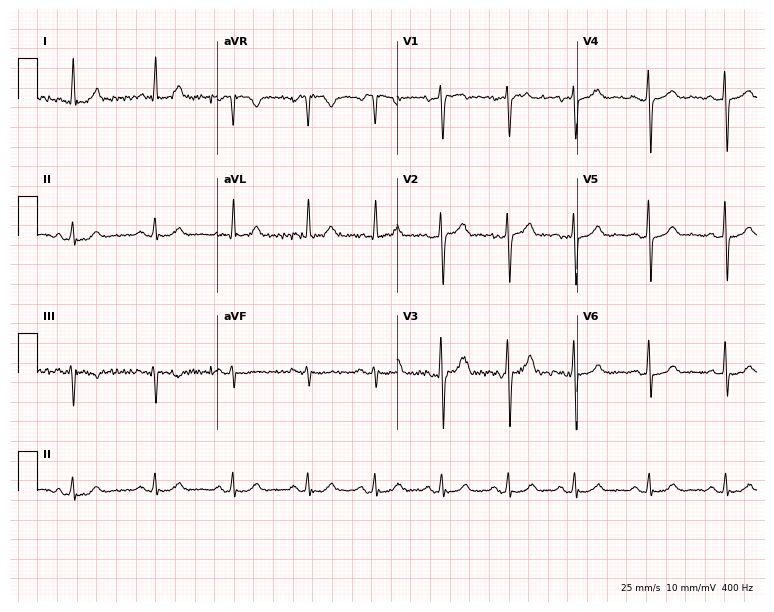
12-lead ECG from a 51-year-old male. No first-degree AV block, right bundle branch block, left bundle branch block, sinus bradycardia, atrial fibrillation or sinus tachycardia recorded for this tracing.